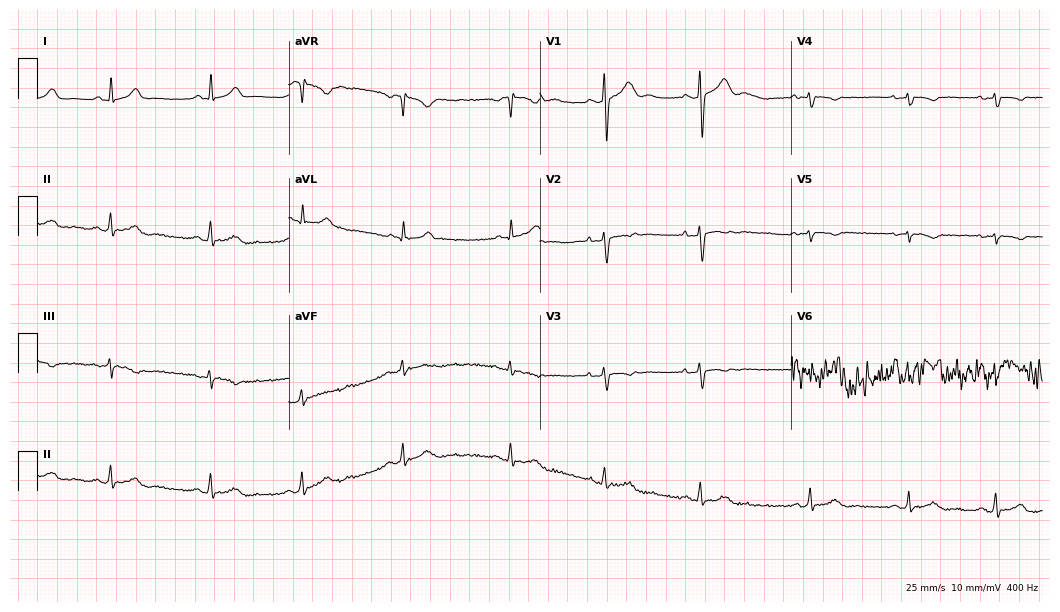
Resting 12-lead electrocardiogram (10.2-second recording at 400 Hz). Patient: a female, 21 years old. None of these six findings is recorded: first-degree AV block, right bundle branch block, left bundle branch block, sinus bradycardia, atrial fibrillation, sinus tachycardia. Findings outside these six are not listed.